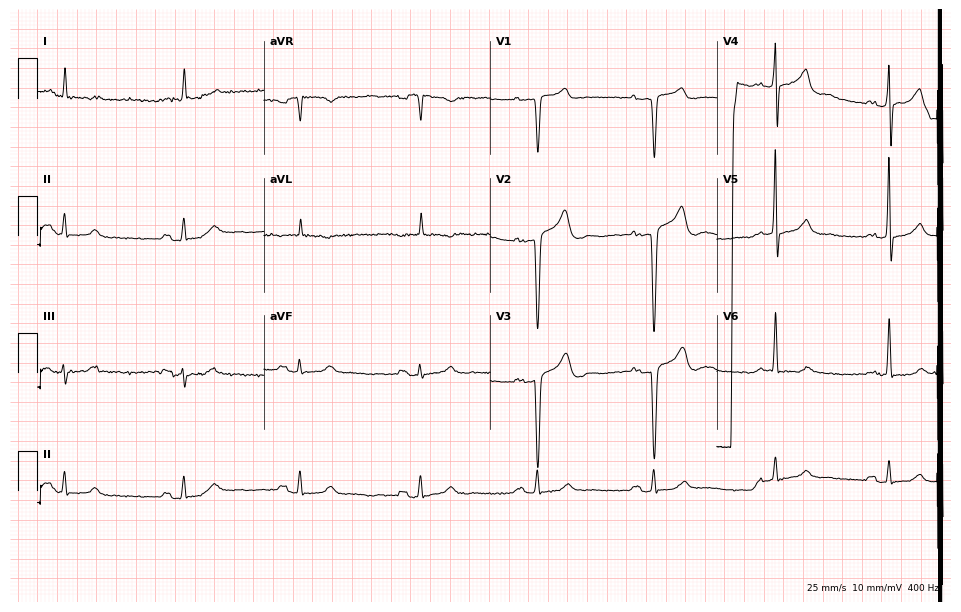
12-lead ECG from a 73-year-old male patient. No first-degree AV block, right bundle branch block, left bundle branch block, sinus bradycardia, atrial fibrillation or sinus tachycardia recorded for this tracing.